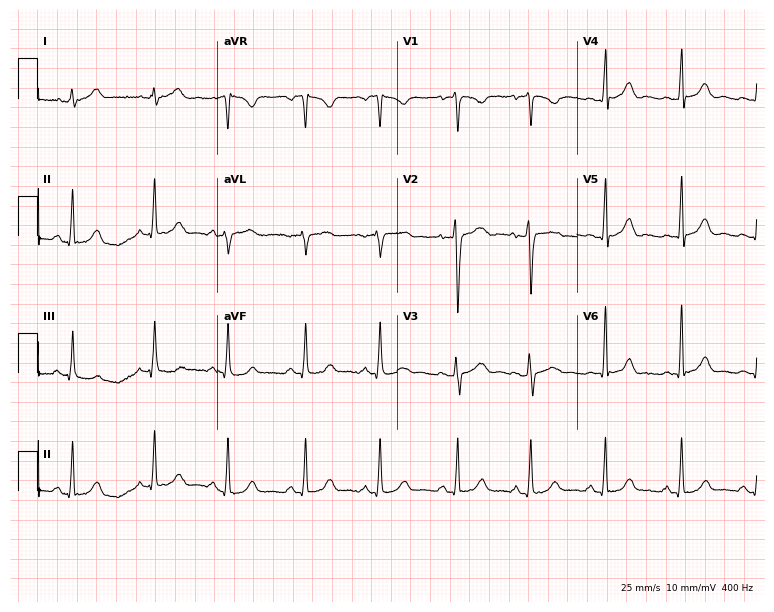
12-lead ECG (7.3-second recording at 400 Hz) from a 31-year-old woman. Labelled as a normal ECG.